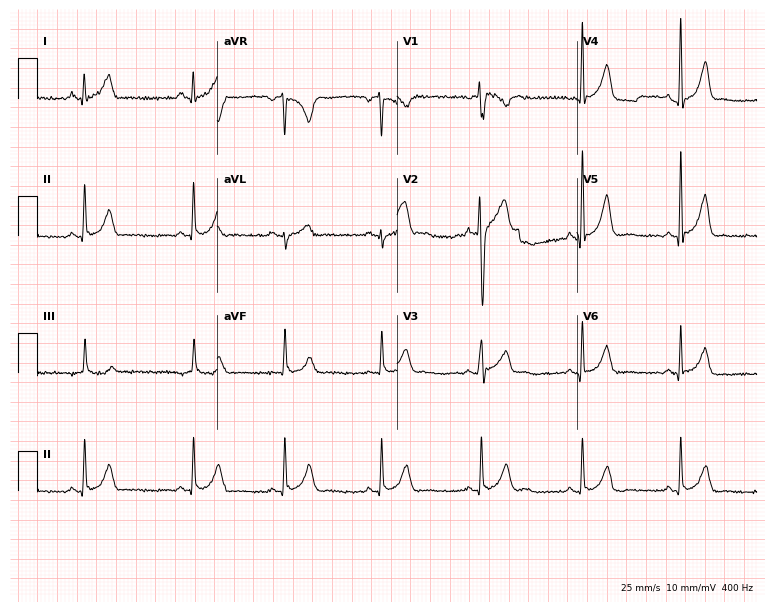
12-lead ECG (7.3-second recording at 400 Hz) from a man, 17 years old. Labelled as a normal ECG.